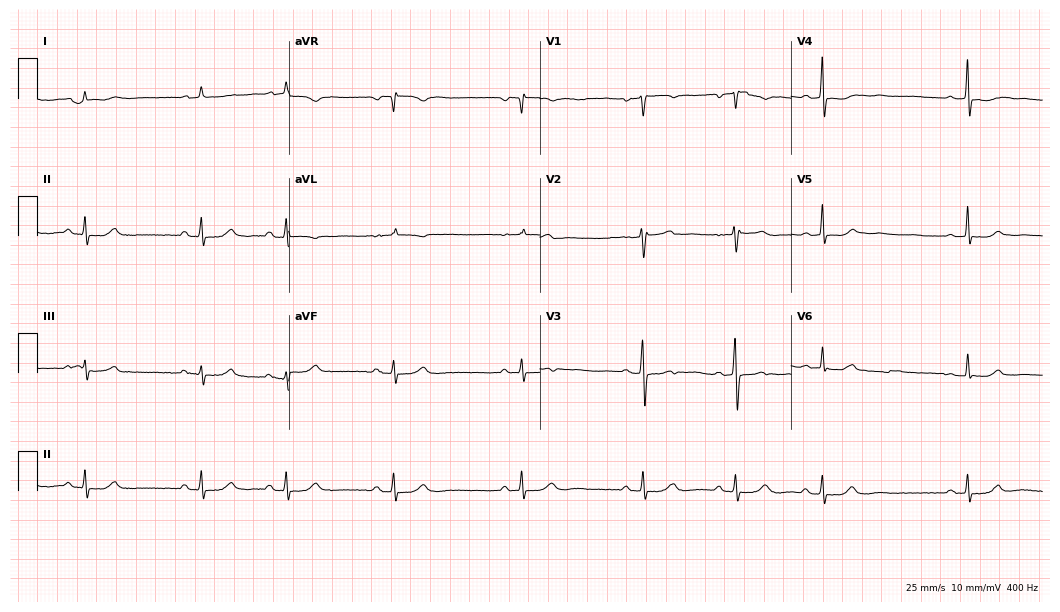
Resting 12-lead electrocardiogram. Patient: a woman, 41 years old. None of these six findings is recorded: first-degree AV block, right bundle branch block (RBBB), left bundle branch block (LBBB), sinus bradycardia, atrial fibrillation (AF), sinus tachycardia. Other findings, if any, are not listed.